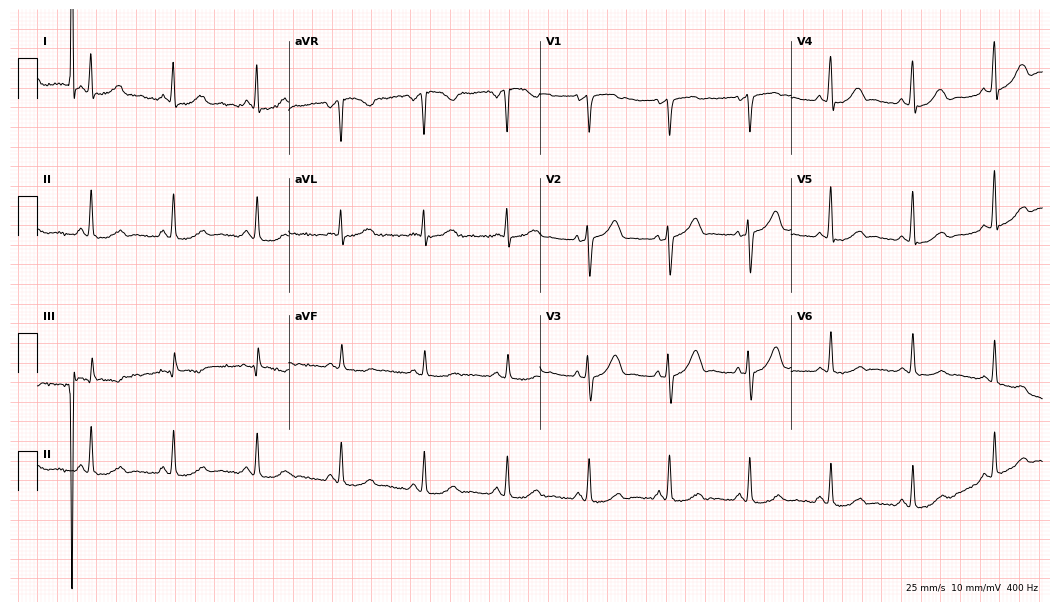
Standard 12-lead ECG recorded from a female, 50 years old (10.2-second recording at 400 Hz). Read as a normal ECG.